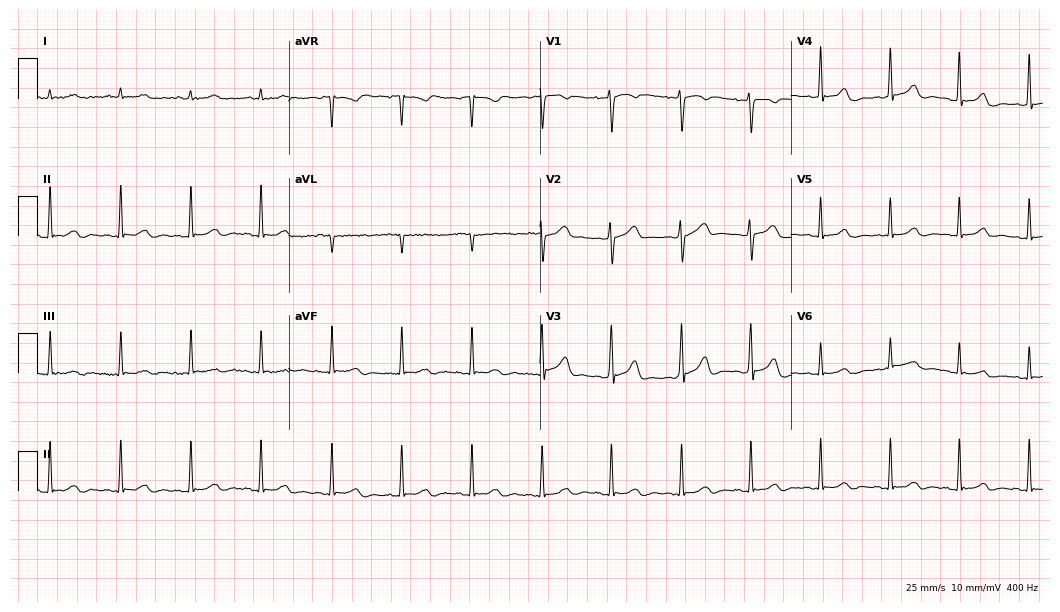
12-lead ECG (10.2-second recording at 400 Hz) from a woman, 31 years old. Screened for six findings — first-degree AV block, right bundle branch block, left bundle branch block, sinus bradycardia, atrial fibrillation, sinus tachycardia — none is recorded.